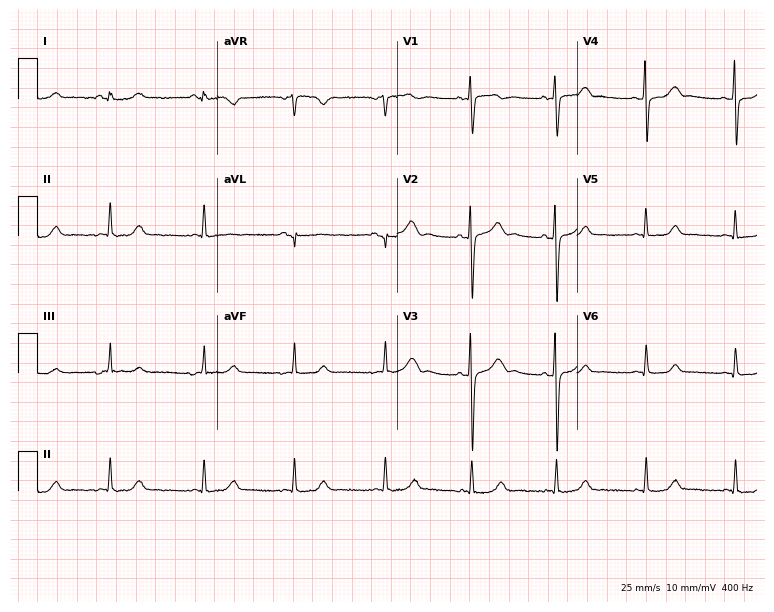
12-lead ECG (7.3-second recording at 400 Hz) from a 38-year-old woman. Labelled as a normal ECG.